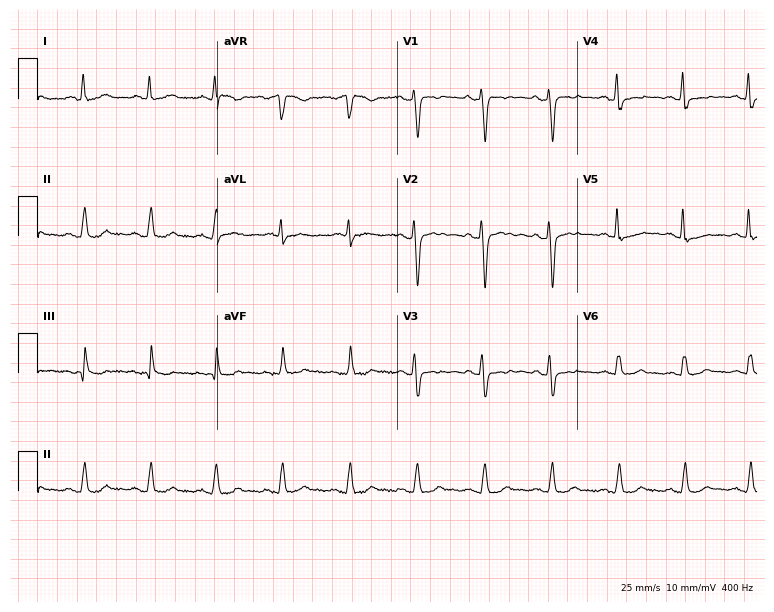
12-lead ECG (7.3-second recording at 400 Hz) from a male patient, 62 years old. Screened for six findings — first-degree AV block, right bundle branch block, left bundle branch block, sinus bradycardia, atrial fibrillation, sinus tachycardia — none is recorded. Findings outside these six are not listed.